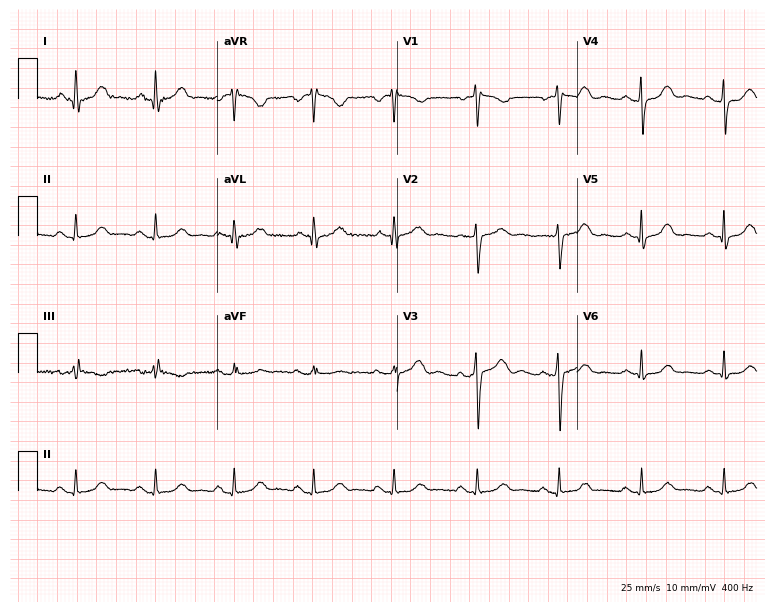
12-lead ECG from a 44-year-old female patient. Recorded interpretation: within normal limits.